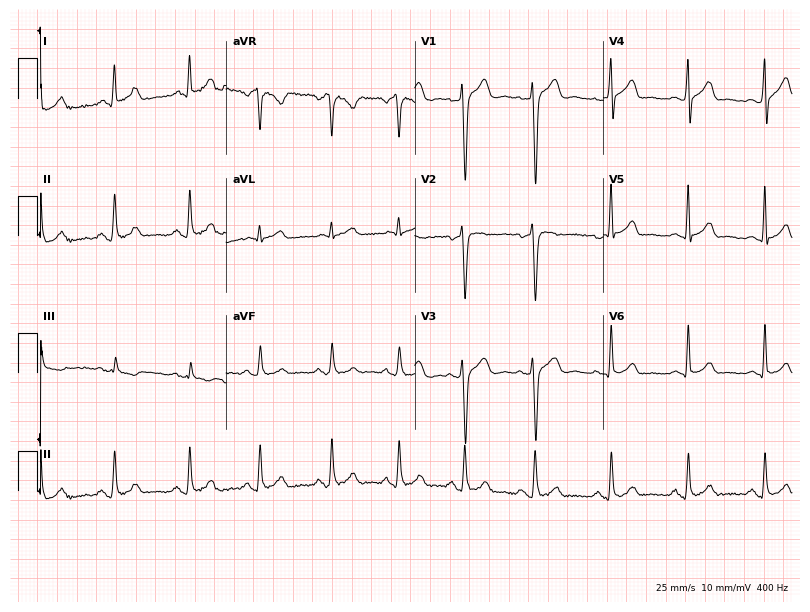
12-lead ECG from a 19-year-old male patient. Recorded interpretation: within normal limits.